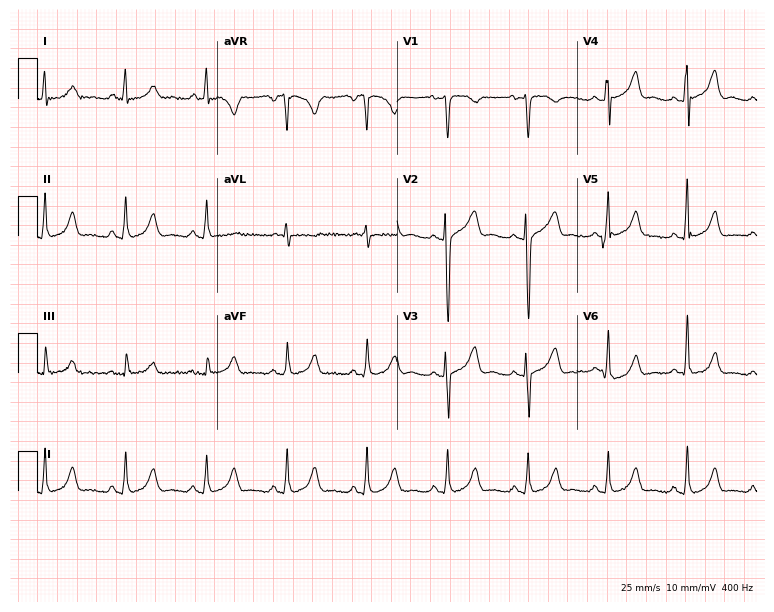
12-lead ECG from a 27-year-old female (7.3-second recording at 400 Hz). Recorded interpretation: within normal limits.